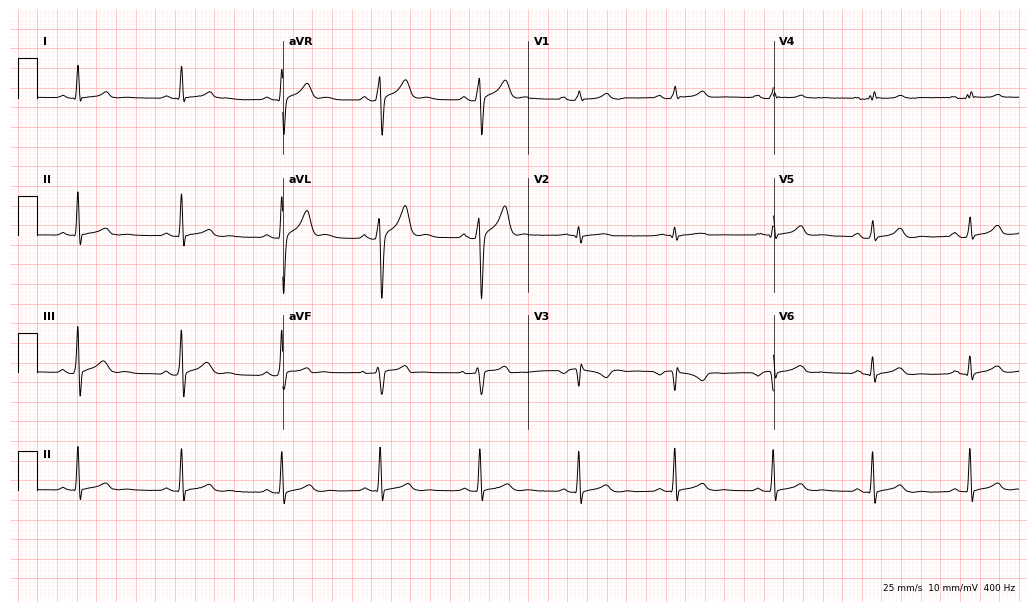
Electrocardiogram, a male, 28 years old. Of the six screened findings (first-degree AV block, right bundle branch block, left bundle branch block, sinus bradycardia, atrial fibrillation, sinus tachycardia), none is recorded. Other findings, if any, are not listed.